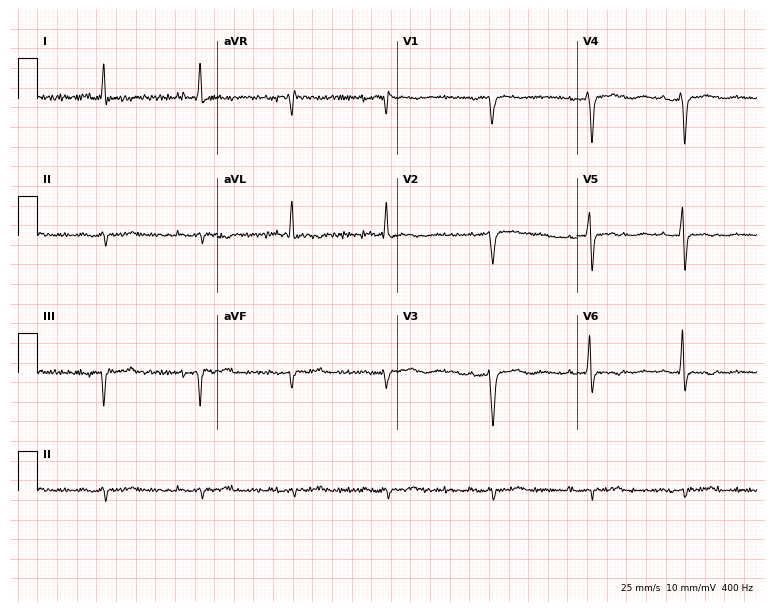
ECG — a 72-year-old woman. Screened for six findings — first-degree AV block, right bundle branch block (RBBB), left bundle branch block (LBBB), sinus bradycardia, atrial fibrillation (AF), sinus tachycardia — none is recorded.